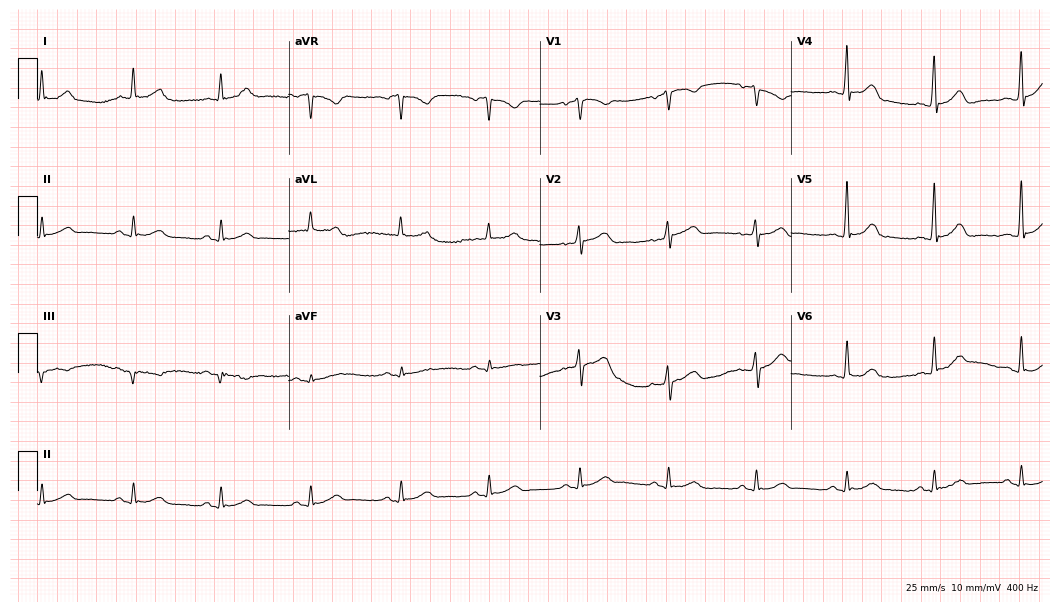
12-lead ECG from a male patient, 58 years old. Labelled as a normal ECG.